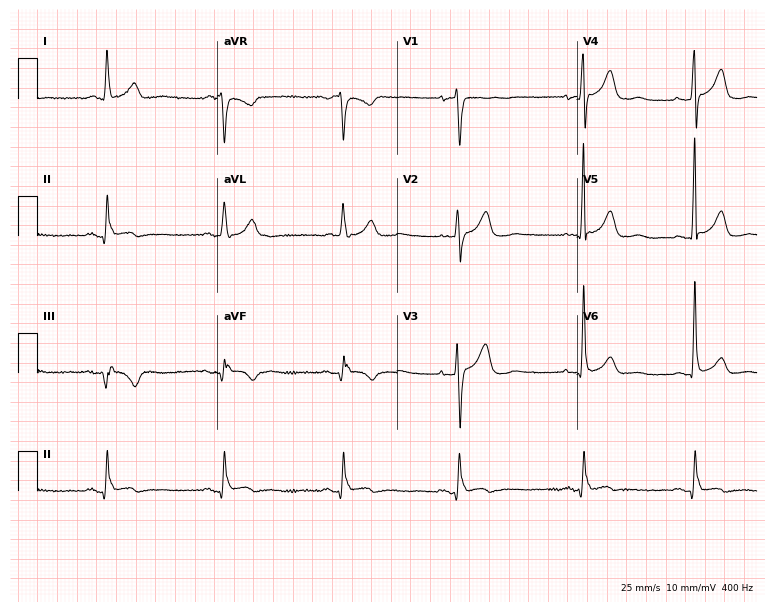
12-lead ECG (7.3-second recording at 400 Hz) from a female aged 90 or older. Screened for six findings — first-degree AV block, right bundle branch block, left bundle branch block, sinus bradycardia, atrial fibrillation, sinus tachycardia — none is recorded.